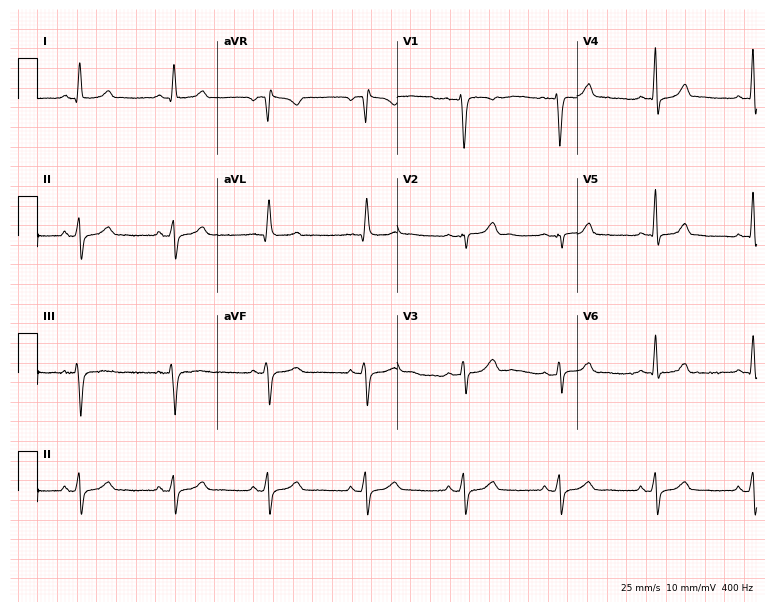
Standard 12-lead ECG recorded from a 41-year-old female patient. None of these six findings is recorded: first-degree AV block, right bundle branch block (RBBB), left bundle branch block (LBBB), sinus bradycardia, atrial fibrillation (AF), sinus tachycardia.